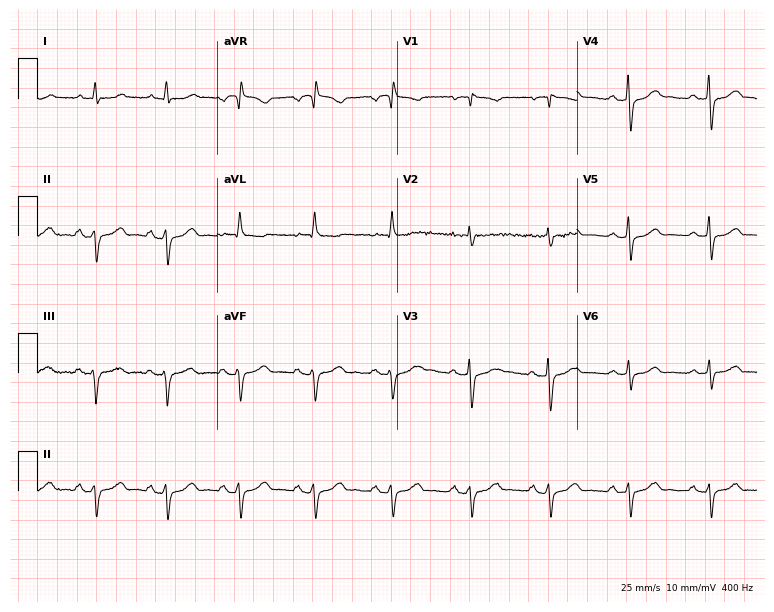
ECG (7.3-second recording at 400 Hz) — a 72-year-old man. Screened for six findings — first-degree AV block, right bundle branch block, left bundle branch block, sinus bradycardia, atrial fibrillation, sinus tachycardia — none is recorded. Only these six findings were labelled.